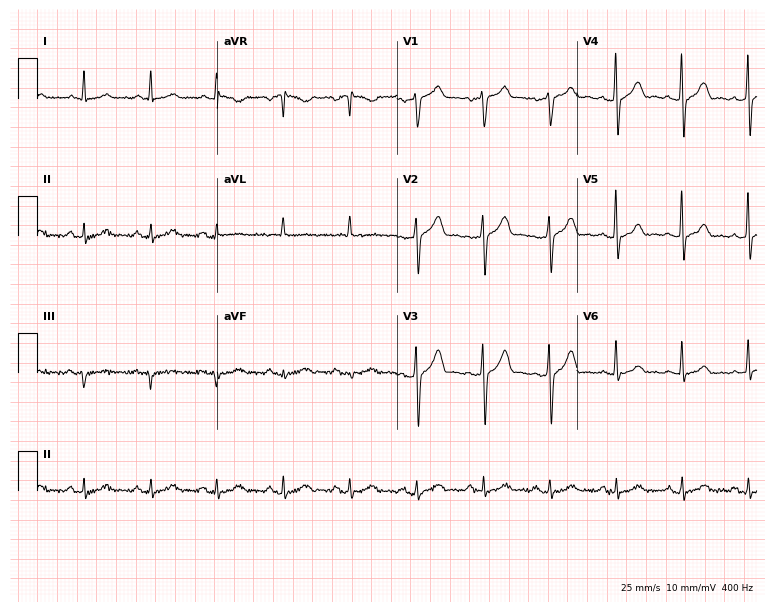
12-lead ECG from a male patient, 70 years old. No first-degree AV block, right bundle branch block, left bundle branch block, sinus bradycardia, atrial fibrillation or sinus tachycardia recorded for this tracing. Other findings, if any, are not listed.